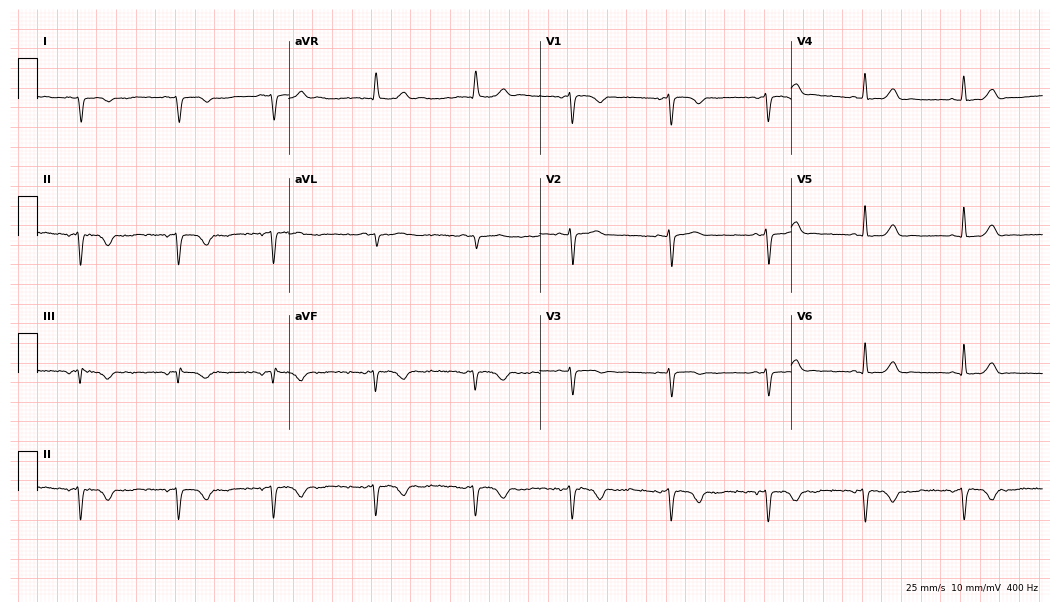
ECG (10.2-second recording at 400 Hz) — a female patient, 39 years old. Screened for six findings — first-degree AV block, right bundle branch block, left bundle branch block, sinus bradycardia, atrial fibrillation, sinus tachycardia — none is recorded.